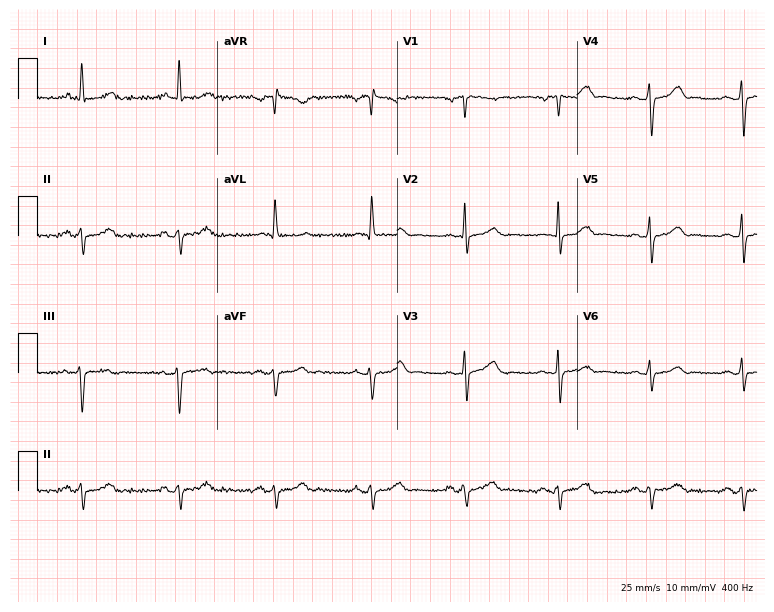
12-lead ECG from a male patient, 68 years old (7.3-second recording at 400 Hz). No first-degree AV block, right bundle branch block (RBBB), left bundle branch block (LBBB), sinus bradycardia, atrial fibrillation (AF) or sinus tachycardia recorded for this tracing.